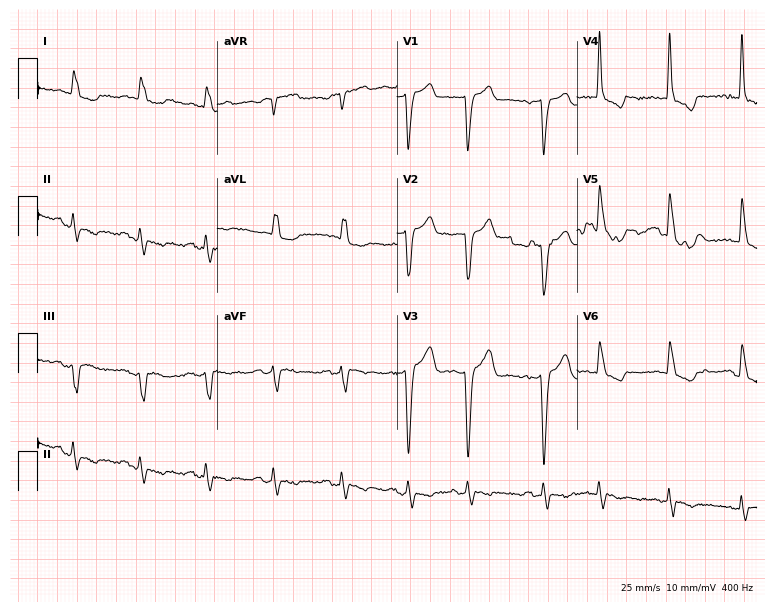
Resting 12-lead electrocardiogram. Patient: an 84-year-old male. None of these six findings is recorded: first-degree AV block, right bundle branch block, left bundle branch block, sinus bradycardia, atrial fibrillation, sinus tachycardia.